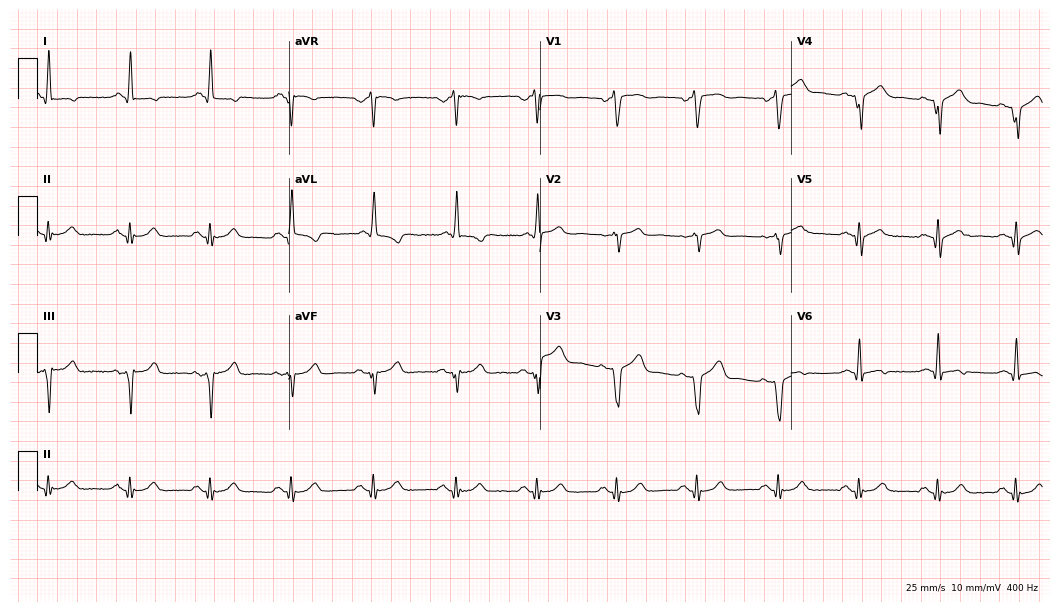
12-lead ECG from a 74-year-old male. No first-degree AV block, right bundle branch block (RBBB), left bundle branch block (LBBB), sinus bradycardia, atrial fibrillation (AF) or sinus tachycardia recorded for this tracing. Findings outside these six are not listed.